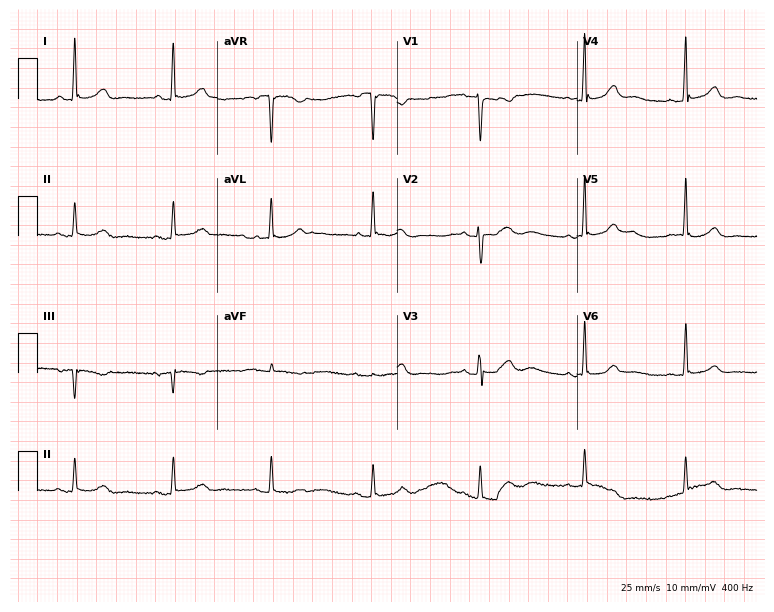
Resting 12-lead electrocardiogram. Patient: a 56-year-old female. Read as a normal ECG.